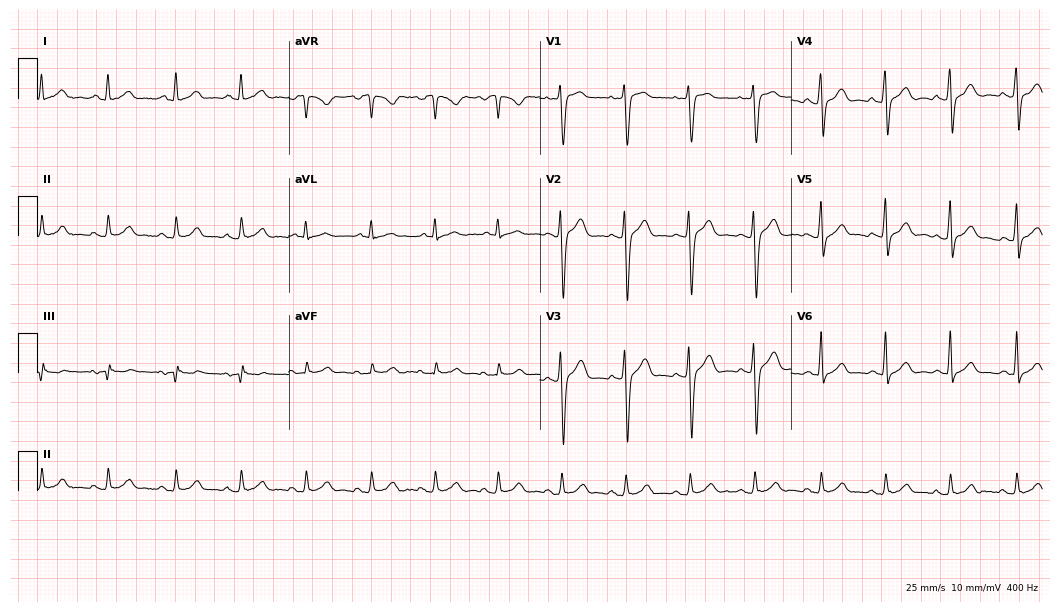
12-lead ECG from a 32-year-old male. Recorded interpretation: within normal limits.